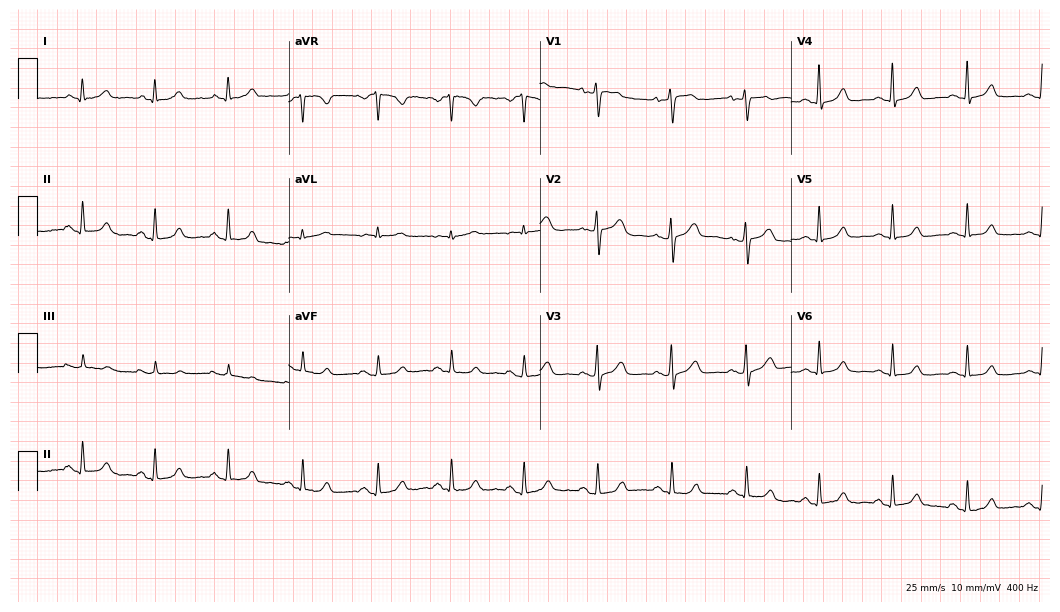
Resting 12-lead electrocardiogram. Patient: a 60-year-old woman. Read as a normal ECG.